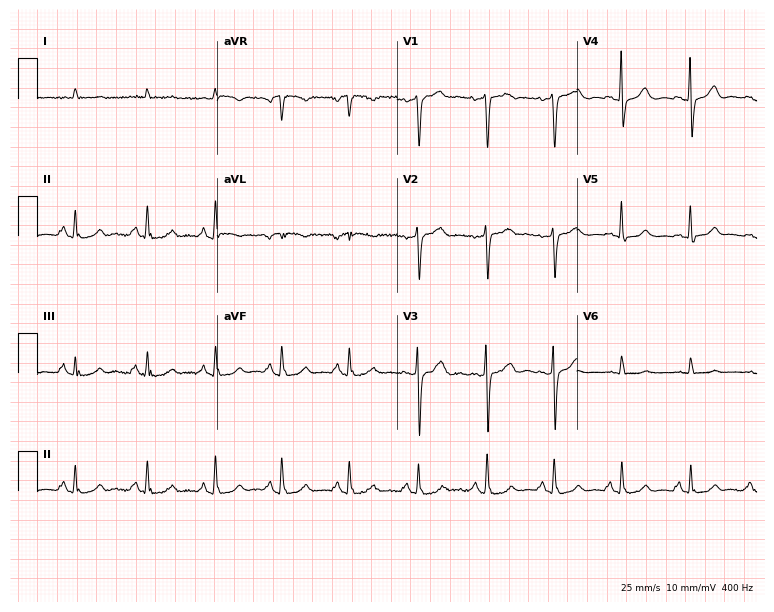
ECG (7.3-second recording at 400 Hz) — a male patient, 67 years old. Screened for six findings — first-degree AV block, right bundle branch block, left bundle branch block, sinus bradycardia, atrial fibrillation, sinus tachycardia — none is recorded. Other findings, if any, are not listed.